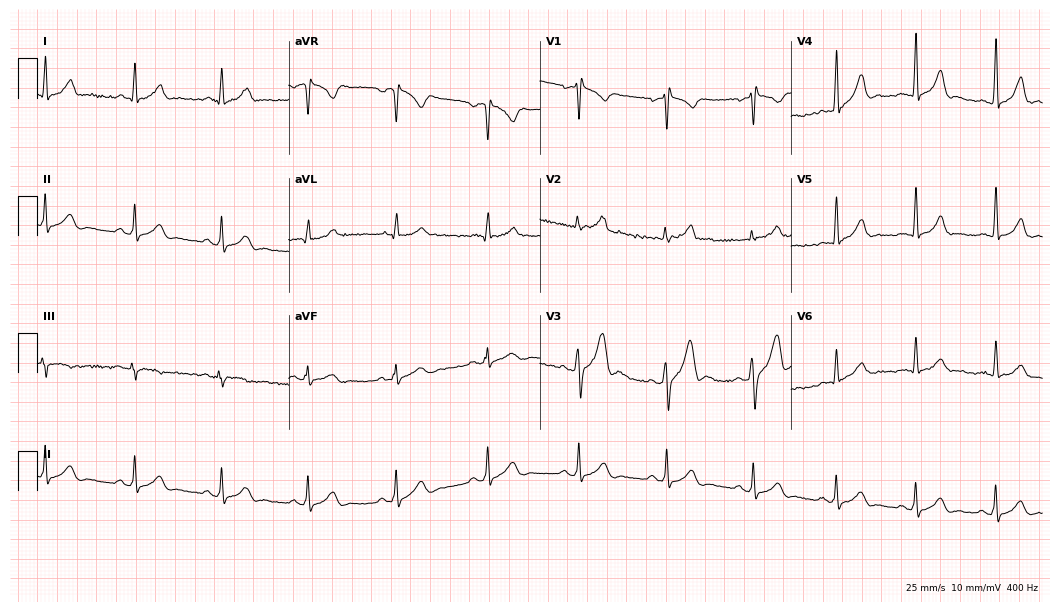
ECG — a 30-year-old male. Screened for six findings — first-degree AV block, right bundle branch block (RBBB), left bundle branch block (LBBB), sinus bradycardia, atrial fibrillation (AF), sinus tachycardia — none is recorded.